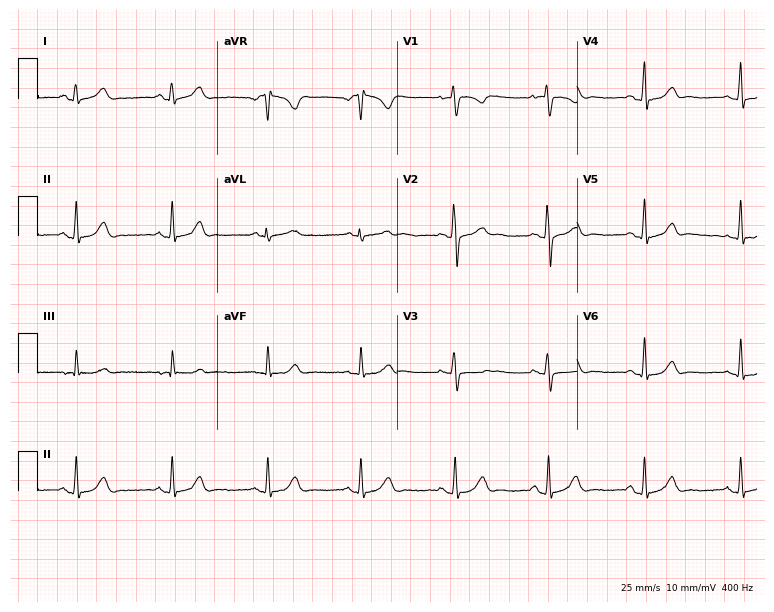
12-lead ECG (7.3-second recording at 400 Hz) from a female patient, 25 years old. Labelled as a normal ECG.